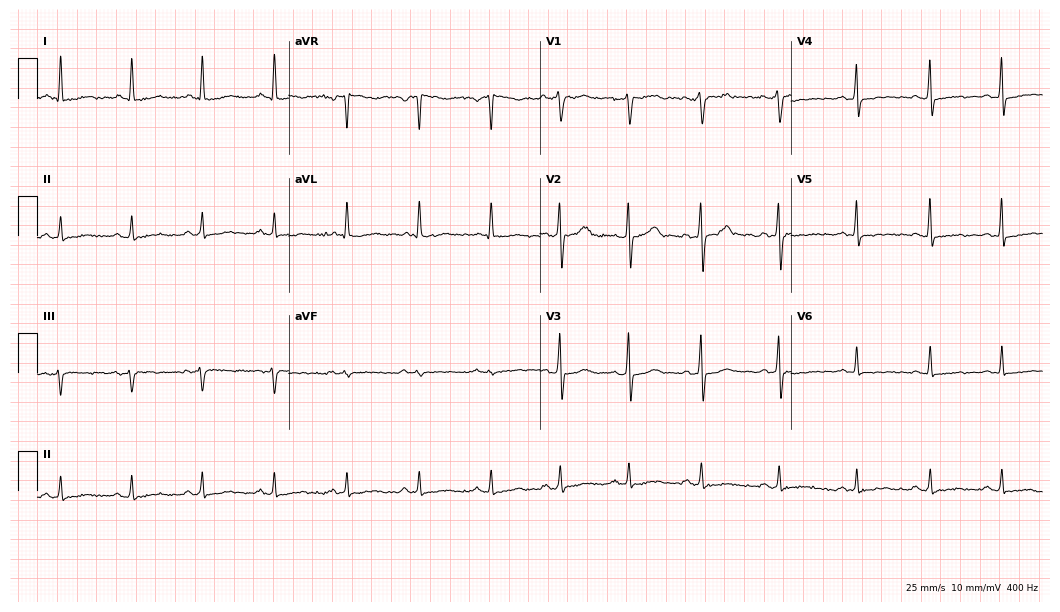
12-lead ECG (10.2-second recording at 400 Hz) from a female, 38 years old. Screened for six findings — first-degree AV block, right bundle branch block, left bundle branch block, sinus bradycardia, atrial fibrillation, sinus tachycardia — none is recorded.